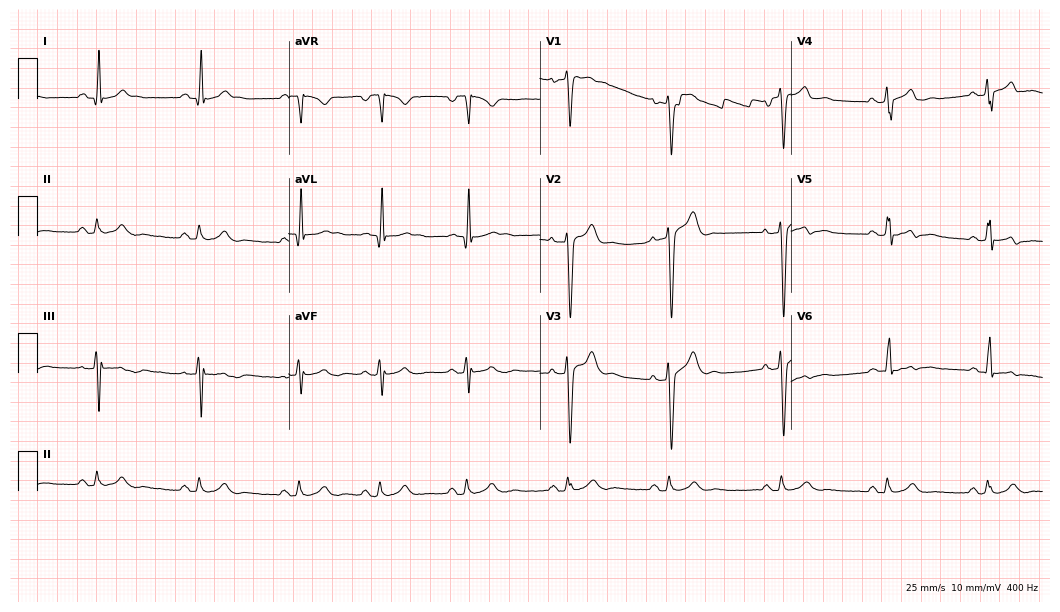
Electrocardiogram (10.2-second recording at 400 Hz), a man, 37 years old. Overall reading on record: normal ECG.